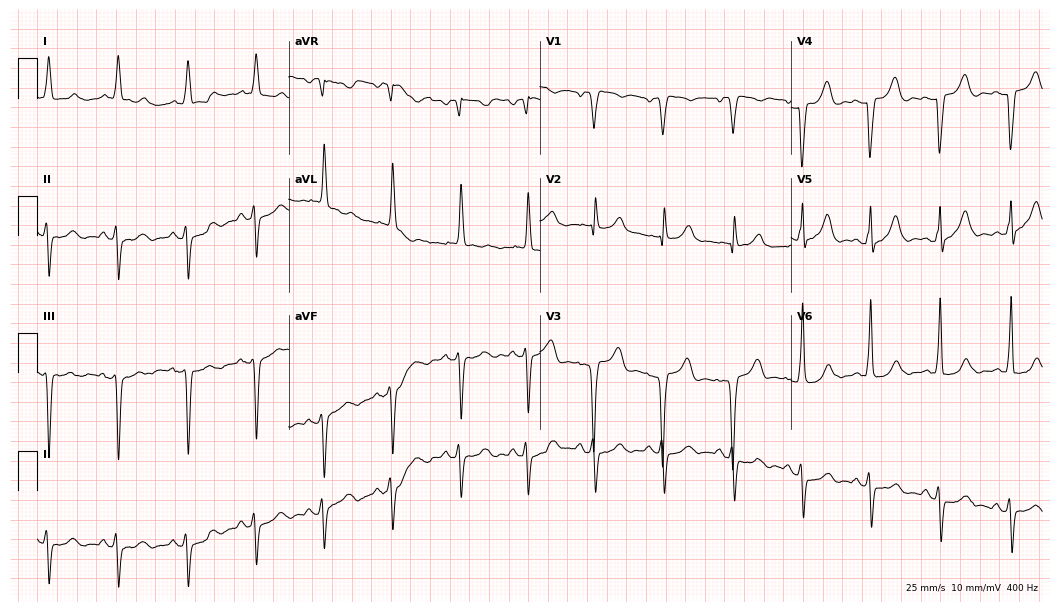
12-lead ECG (10.2-second recording at 400 Hz) from a 73-year-old female. Screened for six findings — first-degree AV block, right bundle branch block (RBBB), left bundle branch block (LBBB), sinus bradycardia, atrial fibrillation (AF), sinus tachycardia — none is recorded. Findings outside these six are not listed.